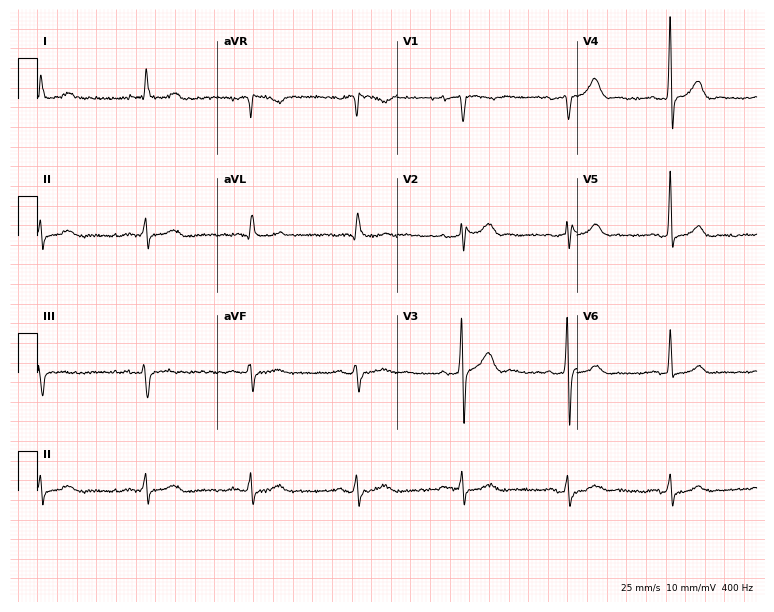
Standard 12-lead ECG recorded from a man, 65 years old. None of these six findings is recorded: first-degree AV block, right bundle branch block (RBBB), left bundle branch block (LBBB), sinus bradycardia, atrial fibrillation (AF), sinus tachycardia. Only these six findings were labelled.